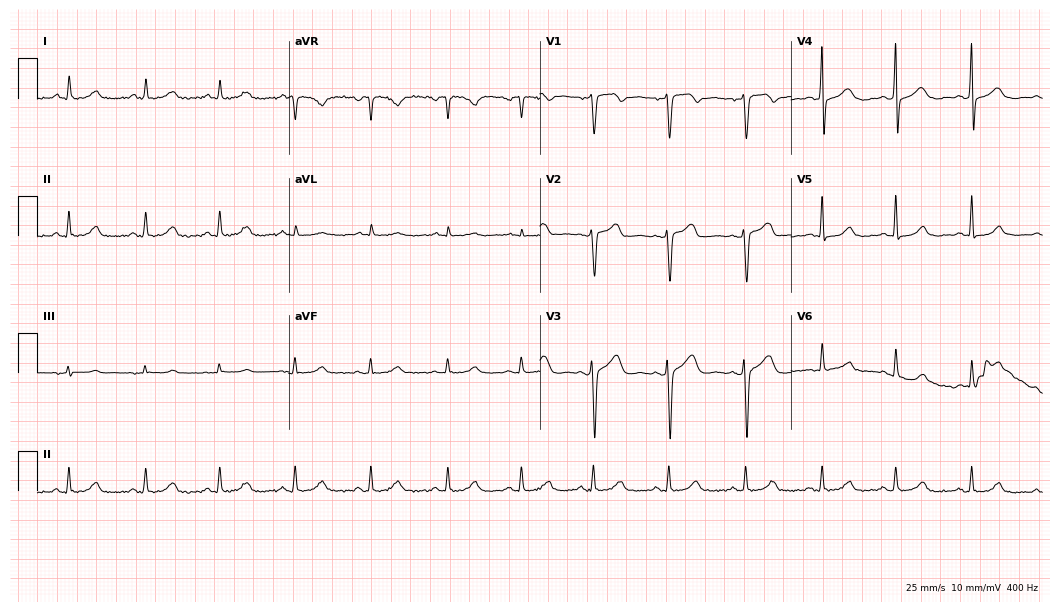
12-lead ECG from a female patient, 48 years old (10.2-second recording at 400 Hz). Recorded interpretation: within normal limits.